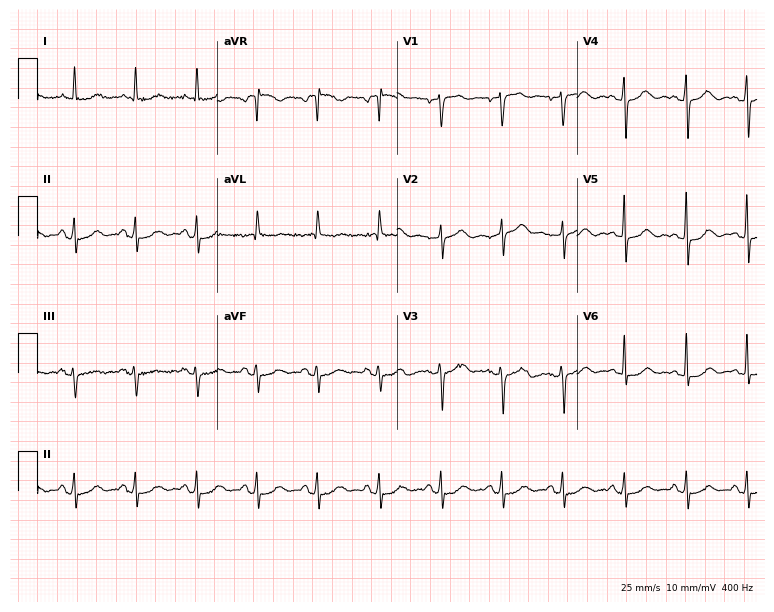
12-lead ECG from an 84-year-old woman. Screened for six findings — first-degree AV block, right bundle branch block, left bundle branch block, sinus bradycardia, atrial fibrillation, sinus tachycardia — none is recorded. Only these six findings were labelled.